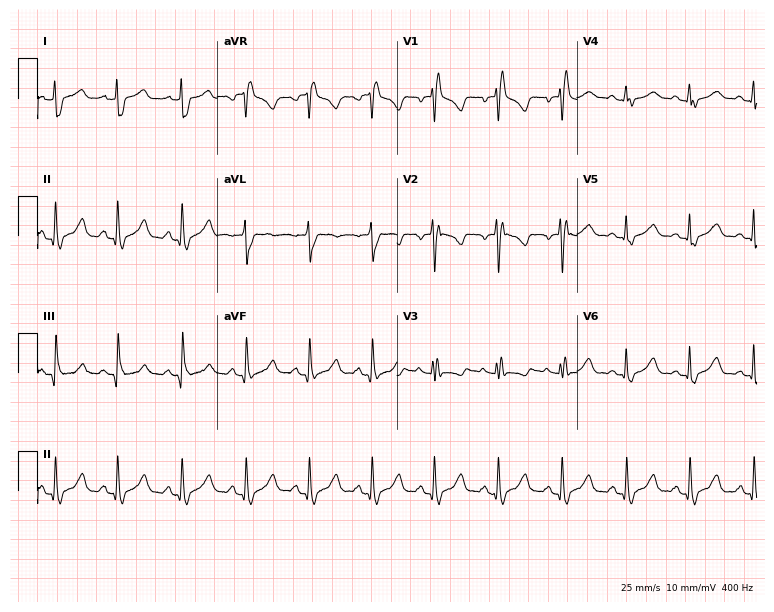
12-lead ECG from a woman, 34 years old. Shows right bundle branch block (RBBB).